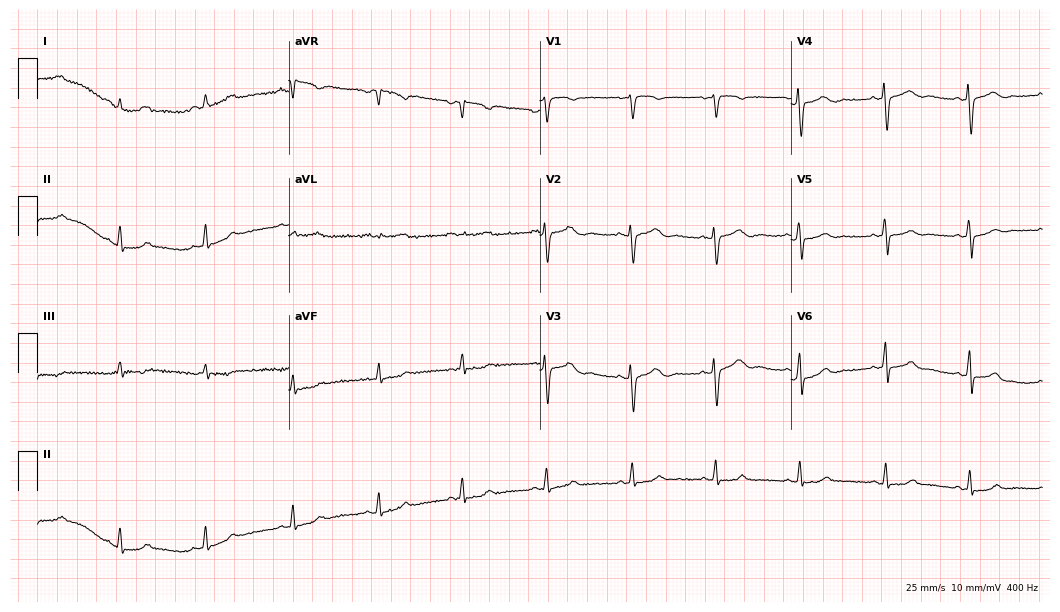
12-lead ECG from a woman, 29 years old (10.2-second recording at 400 Hz). Recorded interpretation: within normal limits.